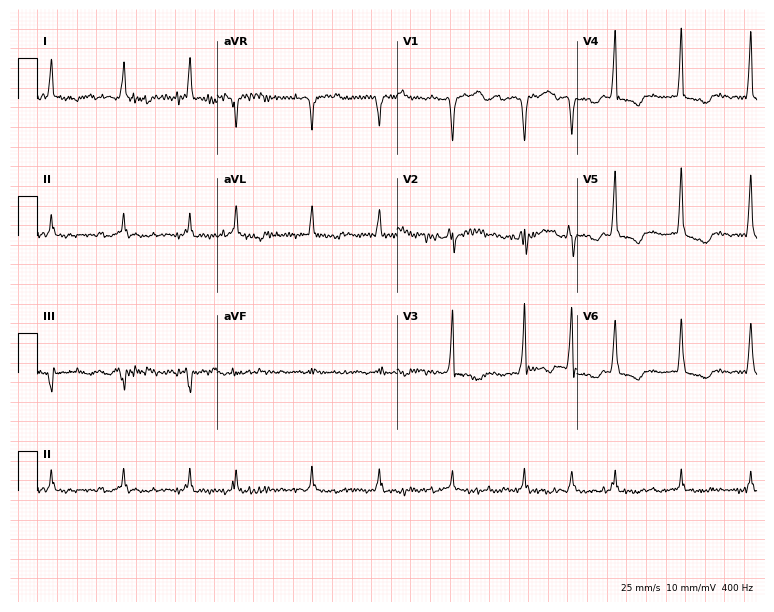
12-lead ECG from a male patient, 62 years old. No first-degree AV block, right bundle branch block (RBBB), left bundle branch block (LBBB), sinus bradycardia, atrial fibrillation (AF) or sinus tachycardia recorded for this tracing. Only these six findings were labelled.